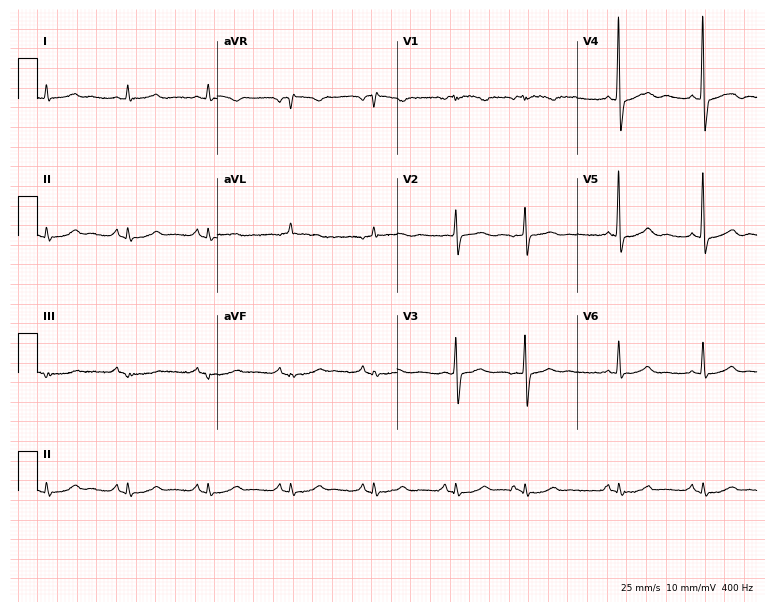
ECG — a male, 78 years old. Labelled as a normal ECG.